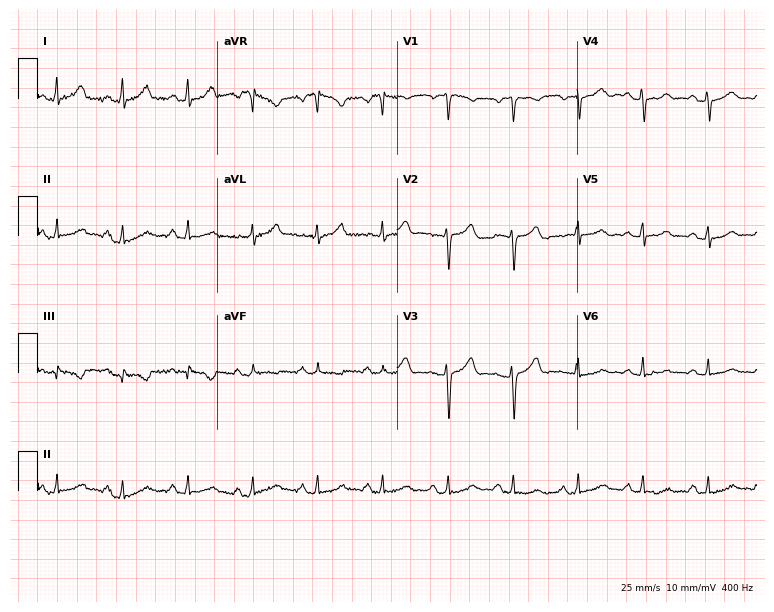
Standard 12-lead ECG recorded from a female, 41 years old (7.3-second recording at 400 Hz). Read as a normal ECG.